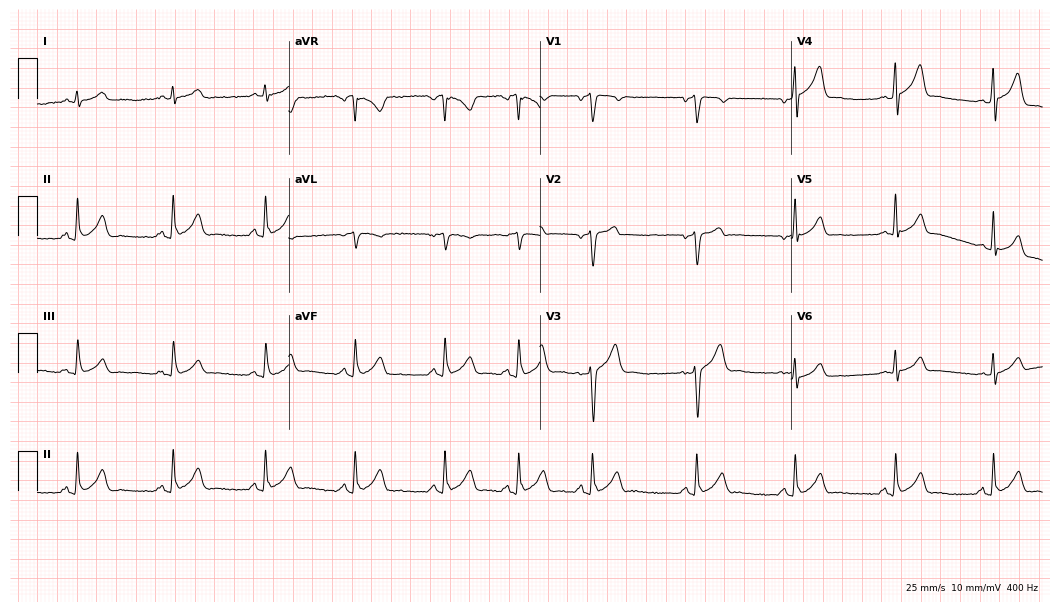
Electrocardiogram, a 20-year-old male patient. Of the six screened findings (first-degree AV block, right bundle branch block, left bundle branch block, sinus bradycardia, atrial fibrillation, sinus tachycardia), none is recorded. Other findings, if any, are not listed.